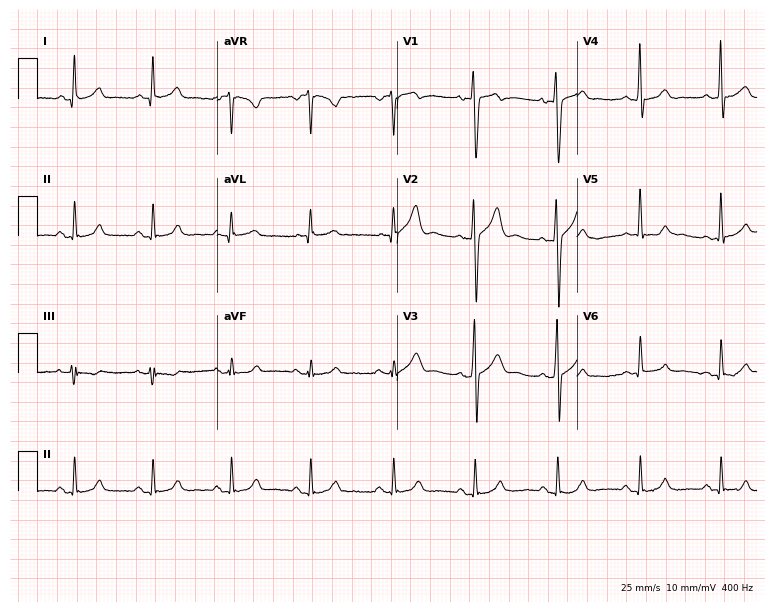
Resting 12-lead electrocardiogram (7.3-second recording at 400 Hz). Patient: a 31-year-old male. Read as a normal ECG.